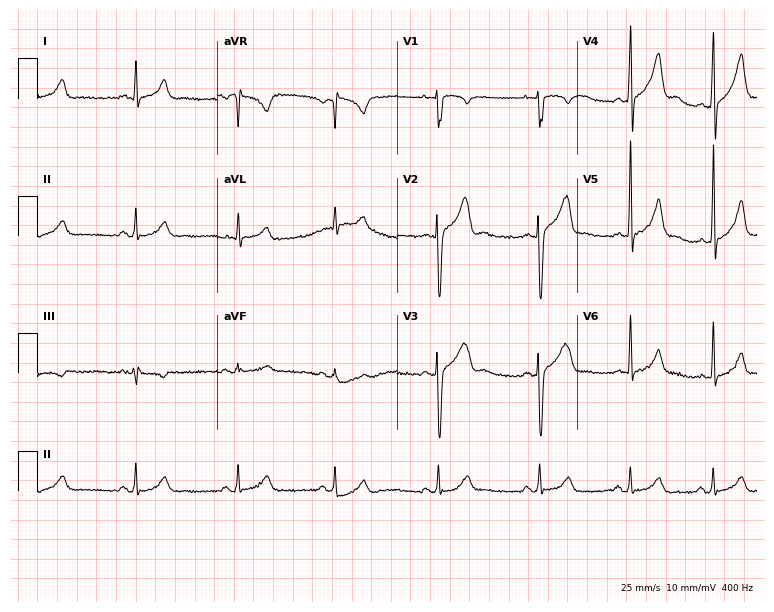
Resting 12-lead electrocardiogram. Patient: a male, 24 years old. None of these six findings is recorded: first-degree AV block, right bundle branch block (RBBB), left bundle branch block (LBBB), sinus bradycardia, atrial fibrillation (AF), sinus tachycardia.